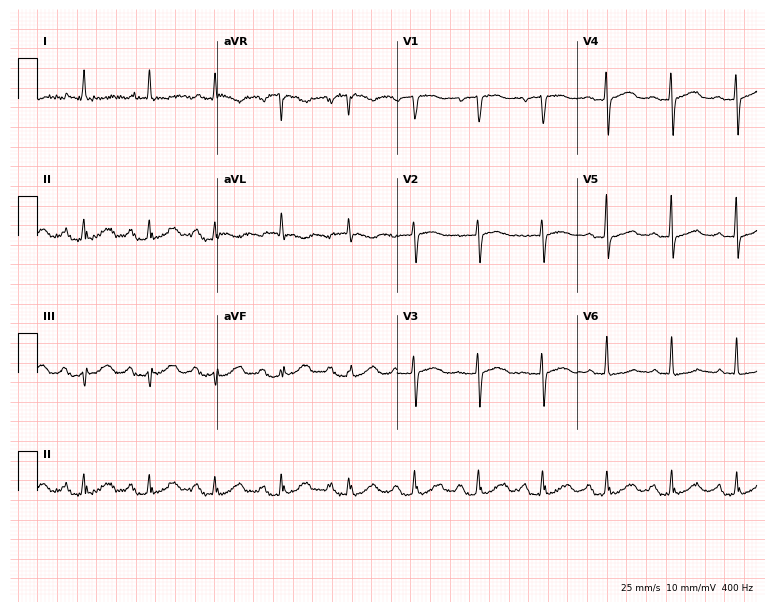
12-lead ECG (7.3-second recording at 400 Hz) from an 80-year-old female patient. Findings include first-degree AV block.